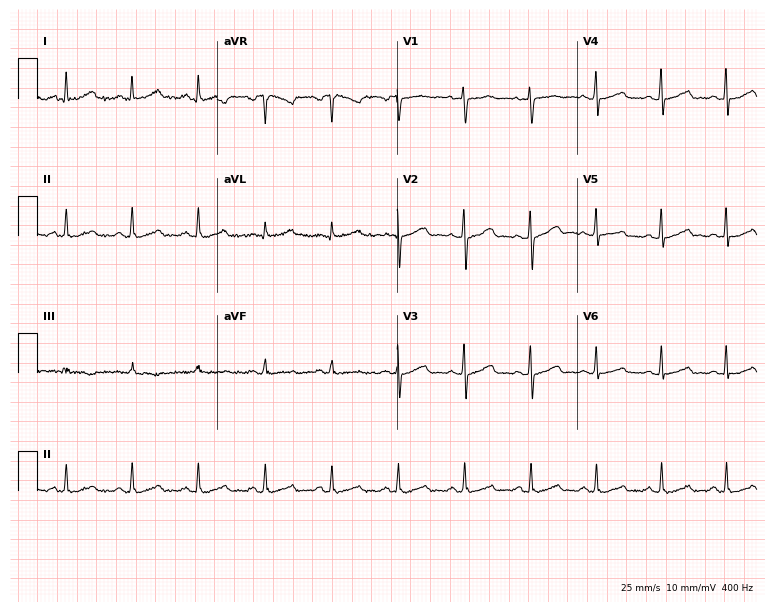
12-lead ECG from a 35-year-old female. Recorded interpretation: within normal limits.